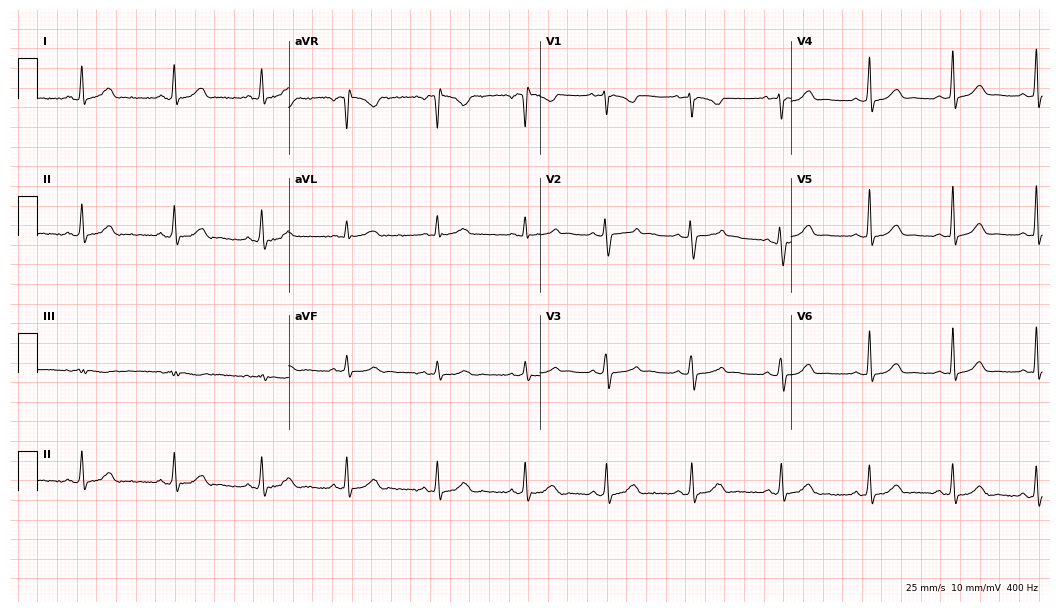
Electrocardiogram, a 20-year-old female. Overall reading on record: normal ECG.